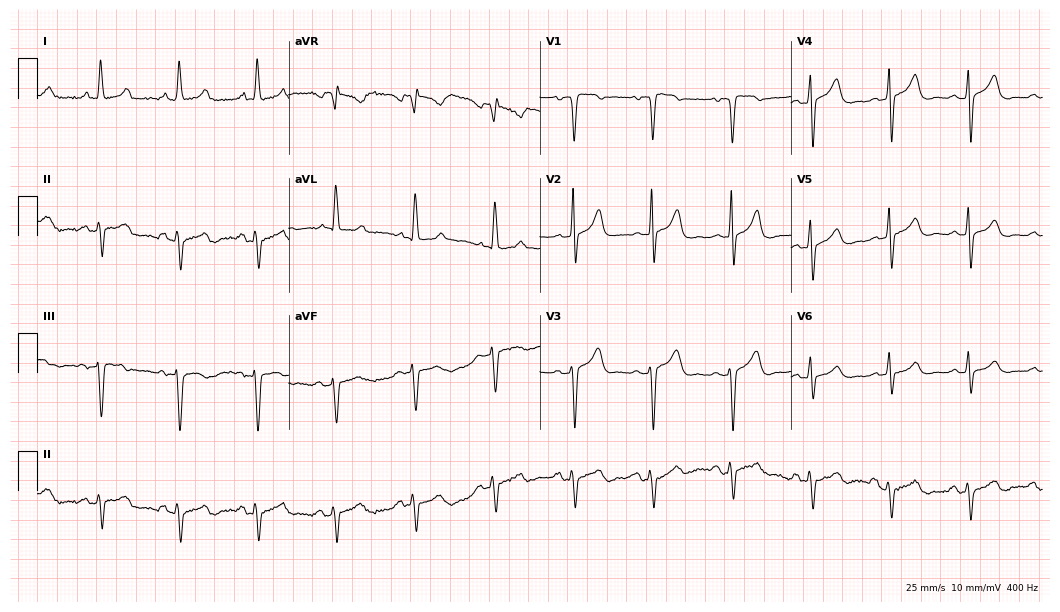
Standard 12-lead ECG recorded from a 79-year-old female. Read as a normal ECG.